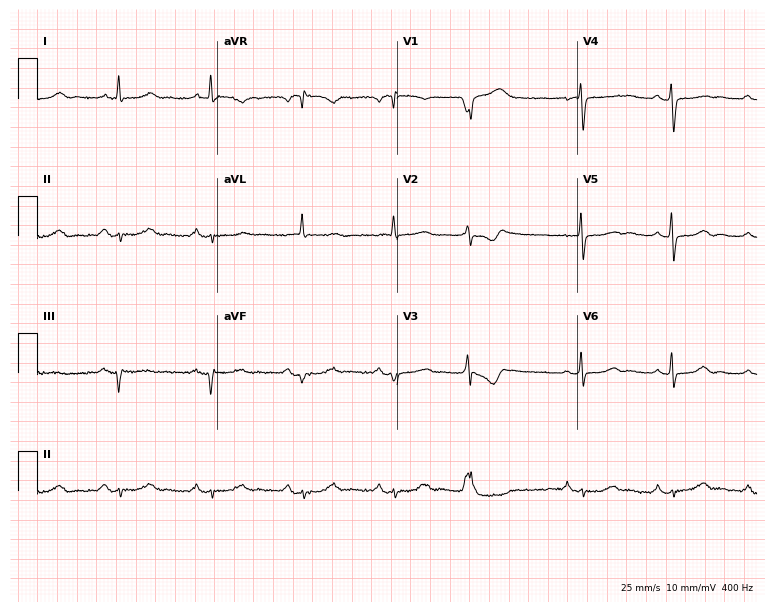
12-lead ECG from a female patient, 64 years old (7.3-second recording at 400 Hz). No first-degree AV block, right bundle branch block, left bundle branch block, sinus bradycardia, atrial fibrillation or sinus tachycardia recorded for this tracing. Other findings, if any, are not listed.